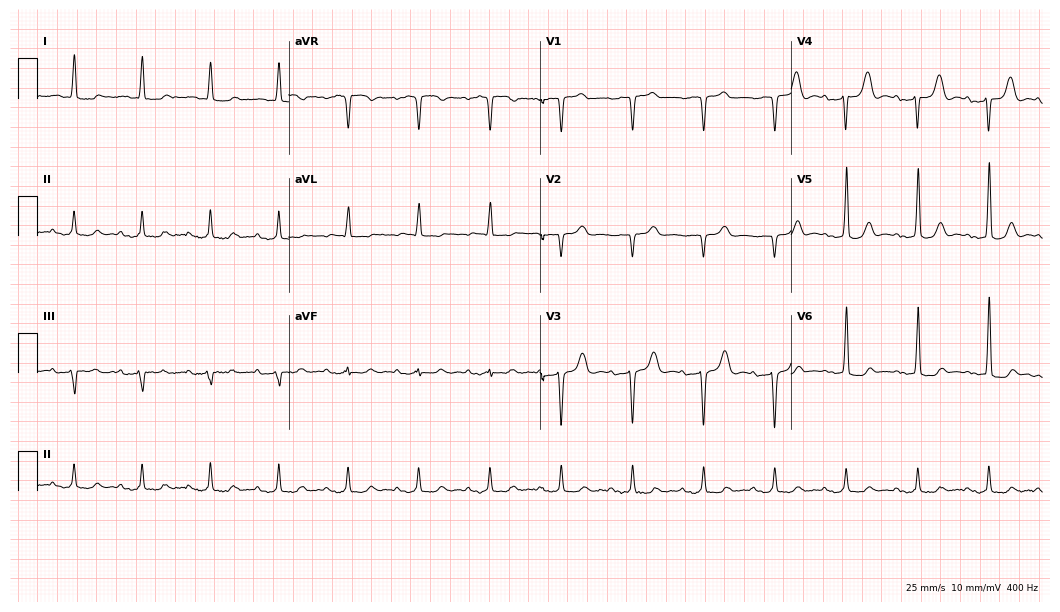
Resting 12-lead electrocardiogram. Patient: a female, 82 years old. None of these six findings is recorded: first-degree AV block, right bundle branch block (RBBB), left bundle branch block (LBBB), sinus bradycardia, atrial fibrillation (AF), sinus tachycardia. Other findings, if any, are not listed.